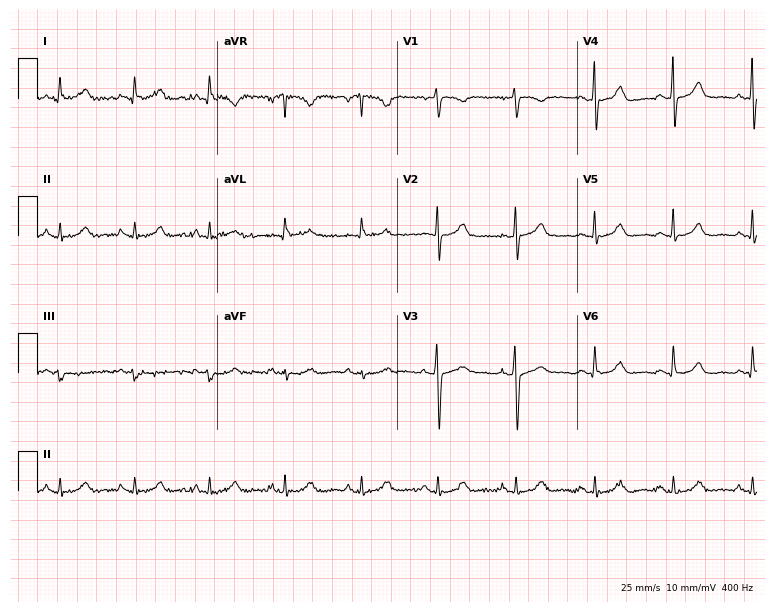
ECG — a female, 68 years old. Screened for six findings — first-degree AV block, right bundle branch block, left bundle branch block, sinus bradycardia, atrial fibrillation, sinus tachycardia — none is recorded.